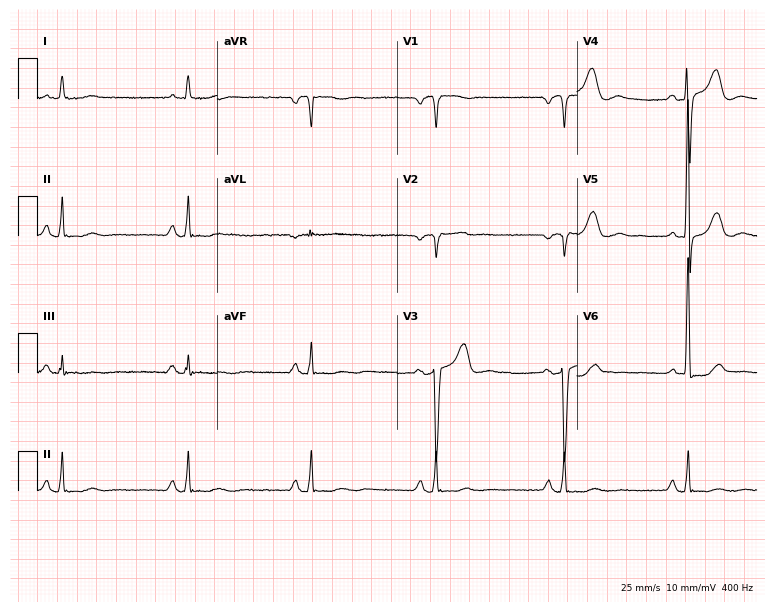
12-lead ECG from a male patient, 66 years old. Findings include sinus bradycardia (a sinus rate of 50 beats per minute or less).